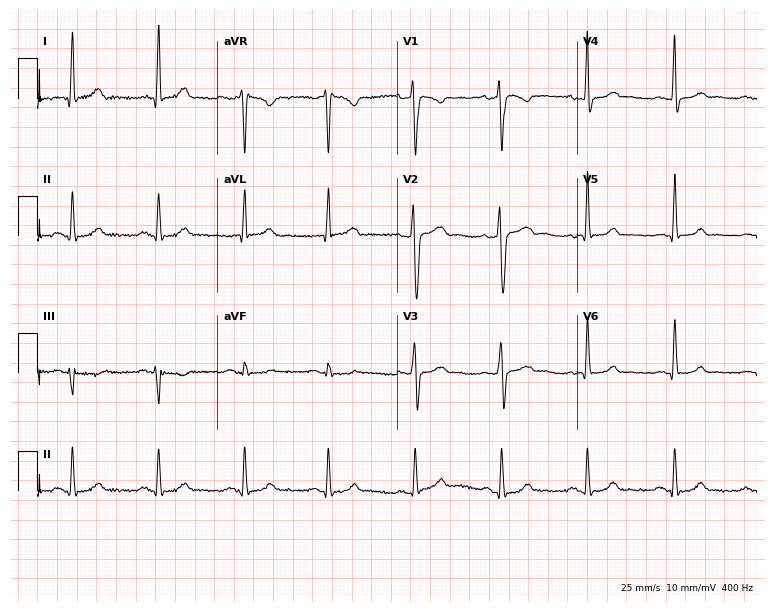
Electrocardiogram, a male patient, 34 years old. Of the six screened findings (first-degree AV block, right bundle branch block, left bundle branch block, sinus bradycardia, atrial fibrillation, sinus tachycardia), none is recorded. Other findings, if any, are not listed.